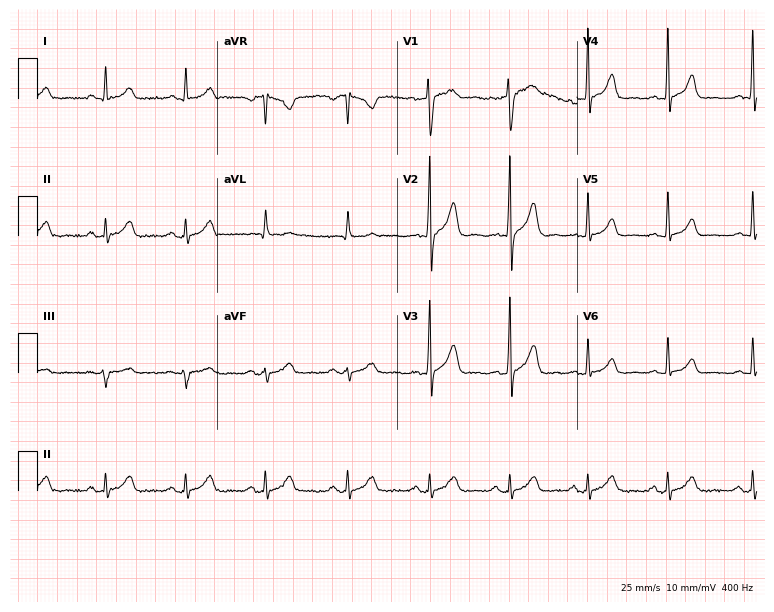
ECG (7.3-second recording at 400 Hz) — a 39-year-old male patient. Labelled as a normal ECG.